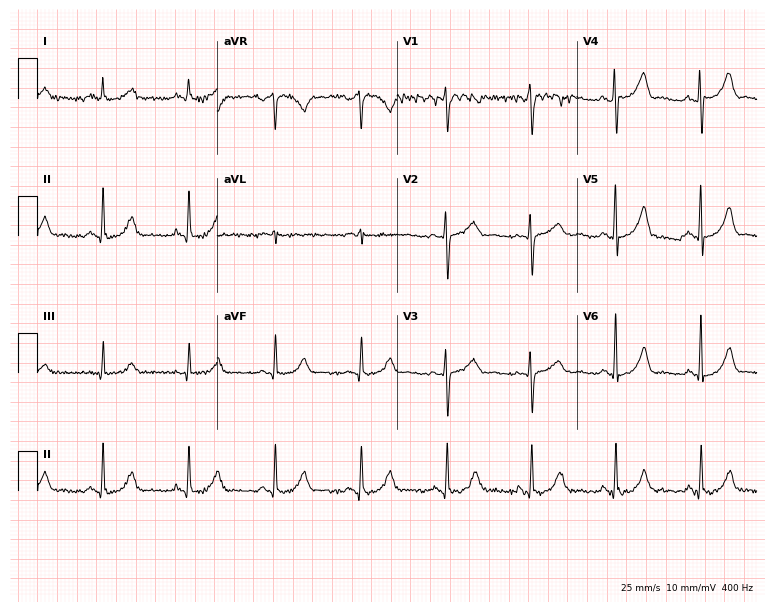
12-lead ECG from a female patient, 69 years old (7.3-second recording at 400 Hz). Recorded interpretation: within normal limits.